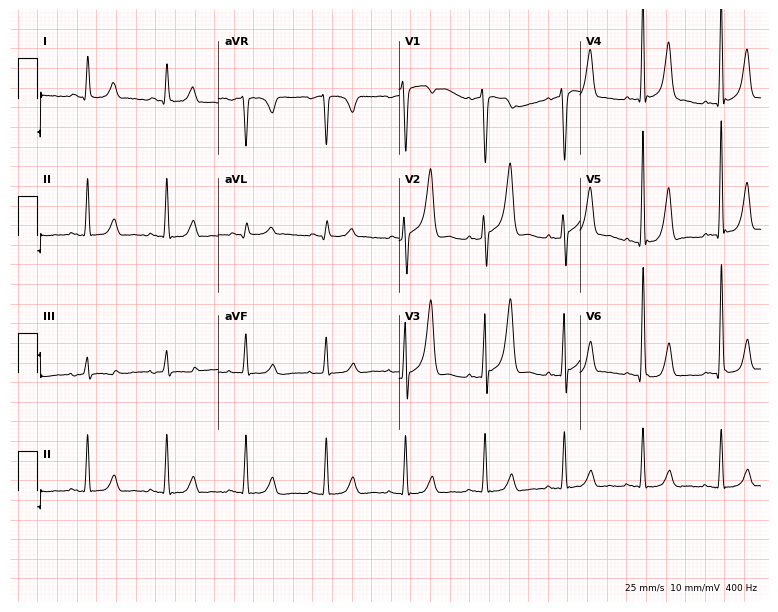
ECG — a male, 46 years old. Screened for six findings — first-degree AV block, right bundle branch block (RBBB), left bundle branch block (LBBB), sinus bradycardia, atrial fibrillation (AF), sinus tachycardia — none is recorded. Findings outside these six are not listed.